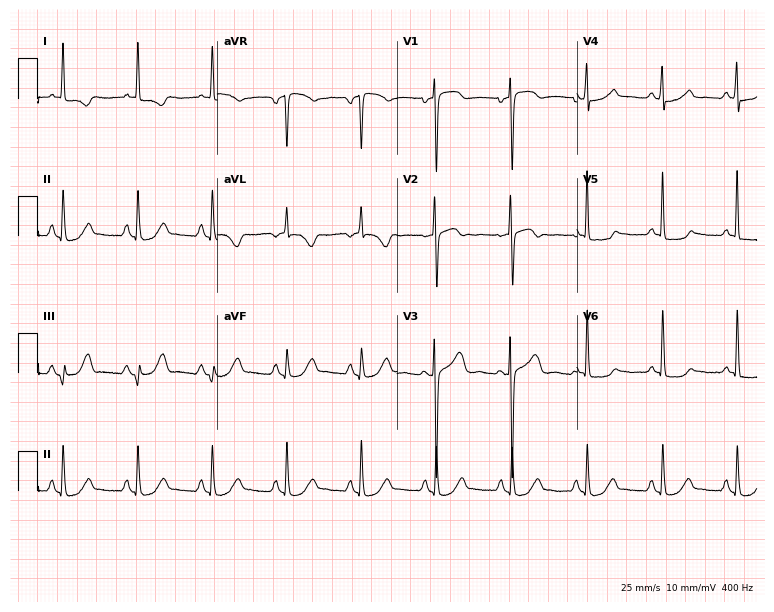
Electrocardiogram, a 71-year-old female patient. Of the six screened findings (first-degree AV block, right bundle branch block, left bundle branch block, sinus bradycardia, atrial fibrillation, sinus tachycardia), none is recorded.